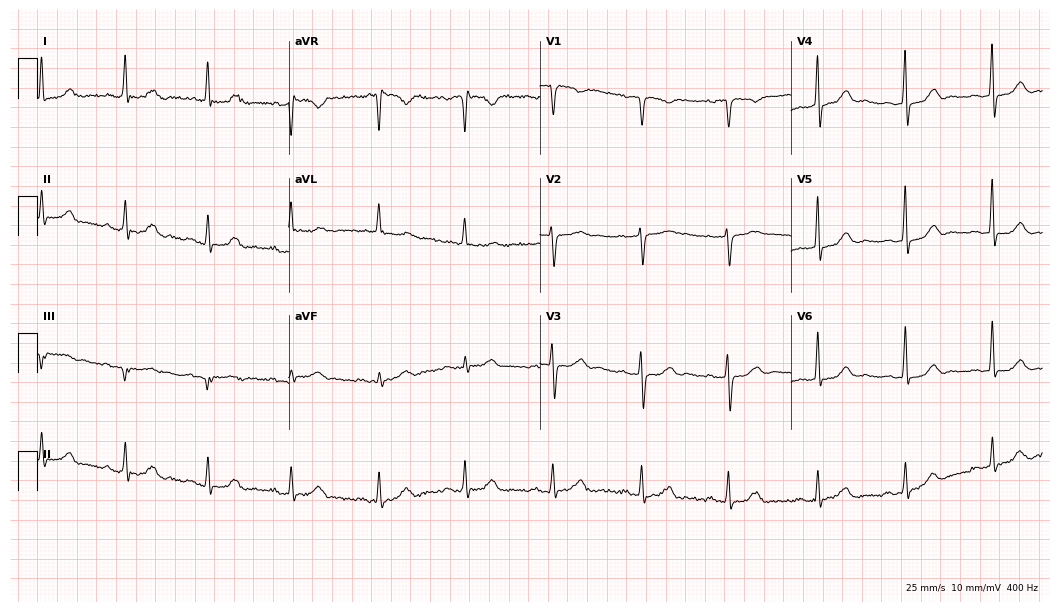
Electrocardiogram, a woman, 75 years old. Overall reading on record: normal ECG.